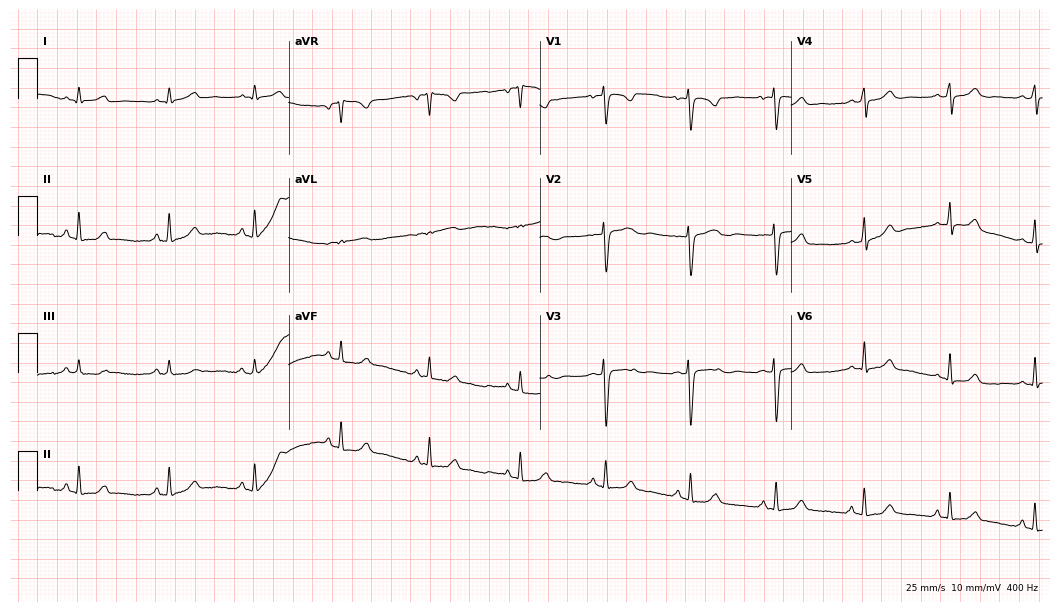
12-lead ECG from a woman, 30 years old. Screened for six findings — first-degree AV block, right bundle branch block, left bundle branch block, sinus bradycardia, atrial fibrillation, sinus tachycardia — none is recorded.